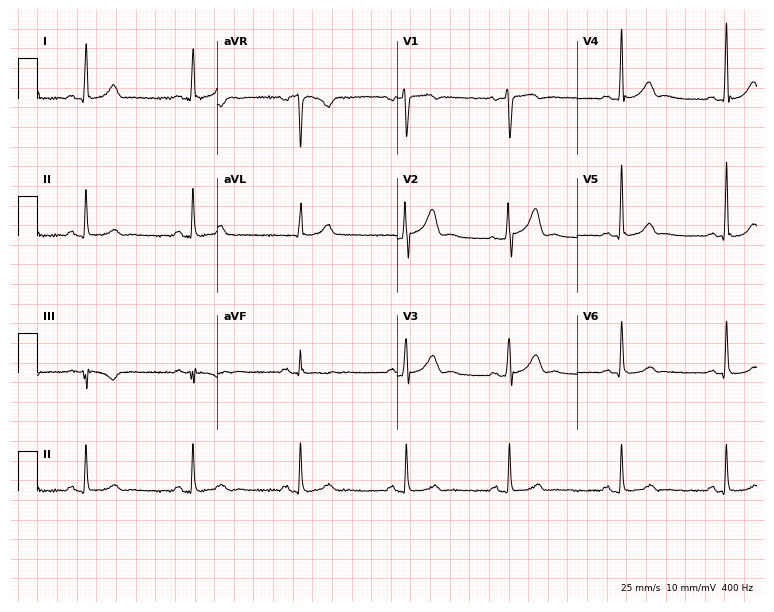
ECG (7.3-second recording at 400 Hz) — a woman, 43 years old. Screened for six findings — first-degree AV block, right bundle branch block (RBBB), left bundle branch block (LBBB), sinus bradycardia, atrial fibrillation (AF), sinus tachycardia — none is recorded.